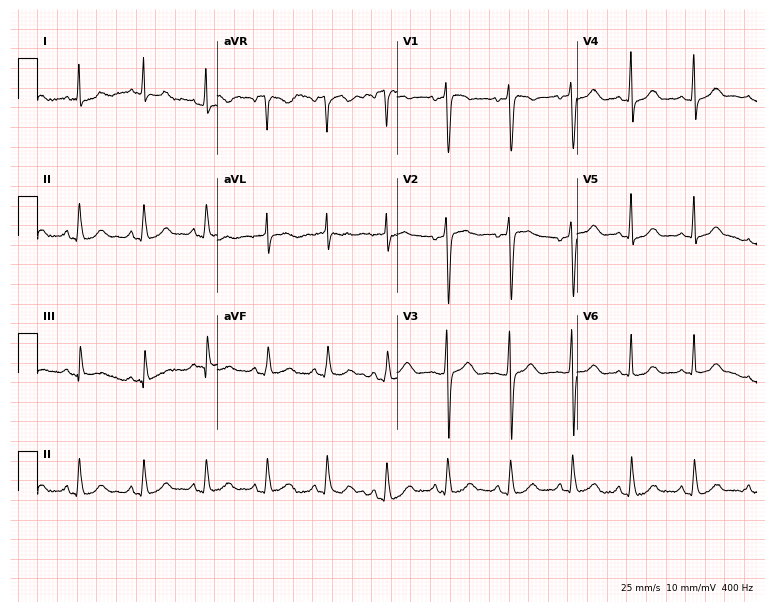
Standard 12-lead ECG recorded from a female patient, 29 years old. Read as a normal ECG.